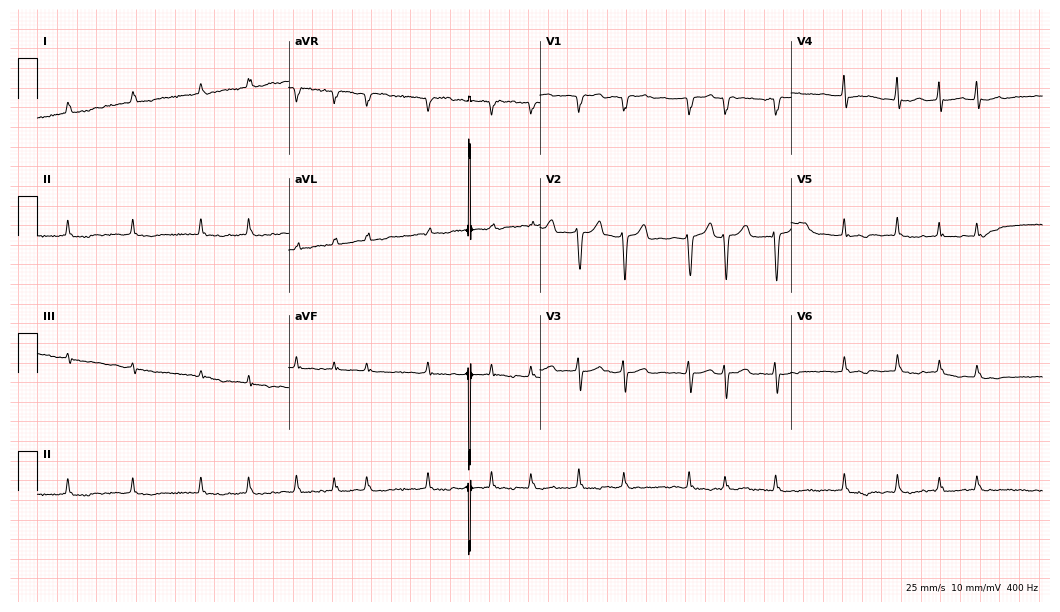
Electrocardiogram, a female, 77 years old. Interpretation includes atrial fibrillation.